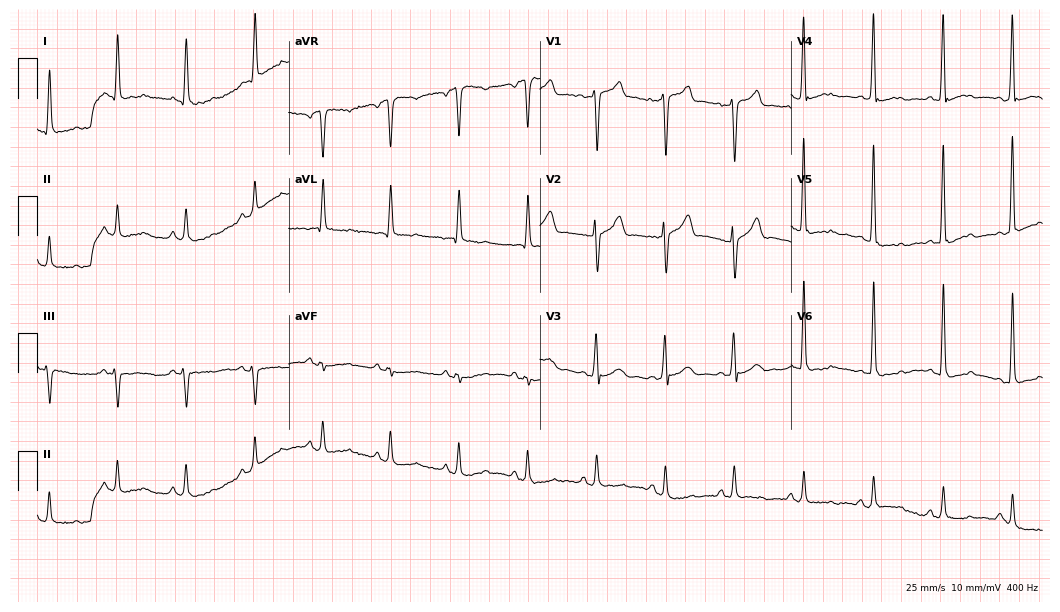
Resting 12-lead electrocardiogram (10.2-second recording at 400 Hz). Patient: a 62-year-old male. None of these six findings is recorded: first-degree AV block, right bundle branch block, left bundle branch block, sinus bradycardia, atrial fibrillation, sinus tachycardia.